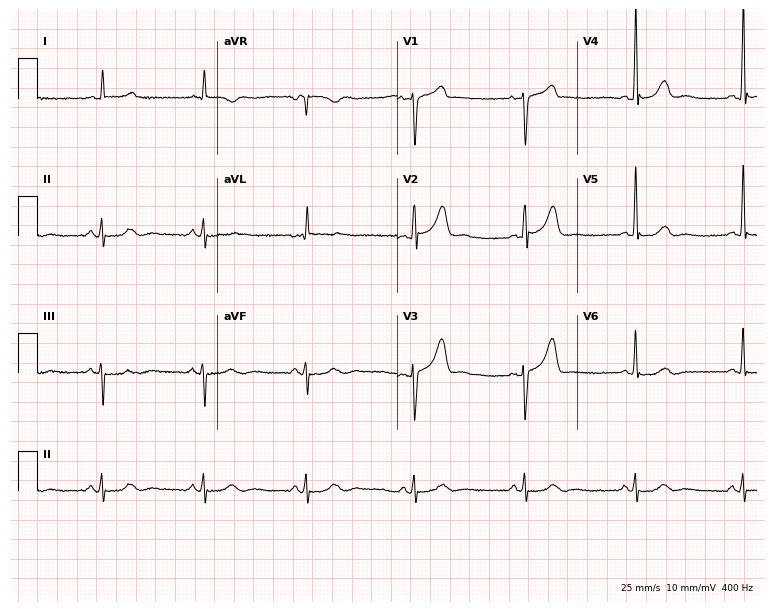
ECG (7.3-second recording at 400 Hz) — a 72-year-old male patient. Labelled as a normal ECG.